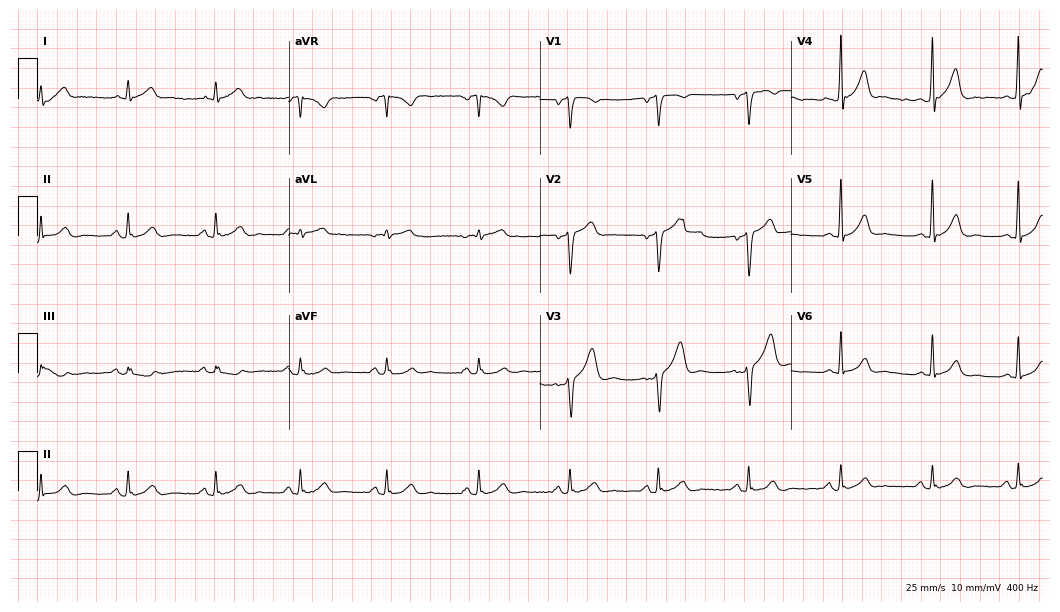
Electrocardiogram, a 43-year-old male patient. Overall reading on record: normal ECG.